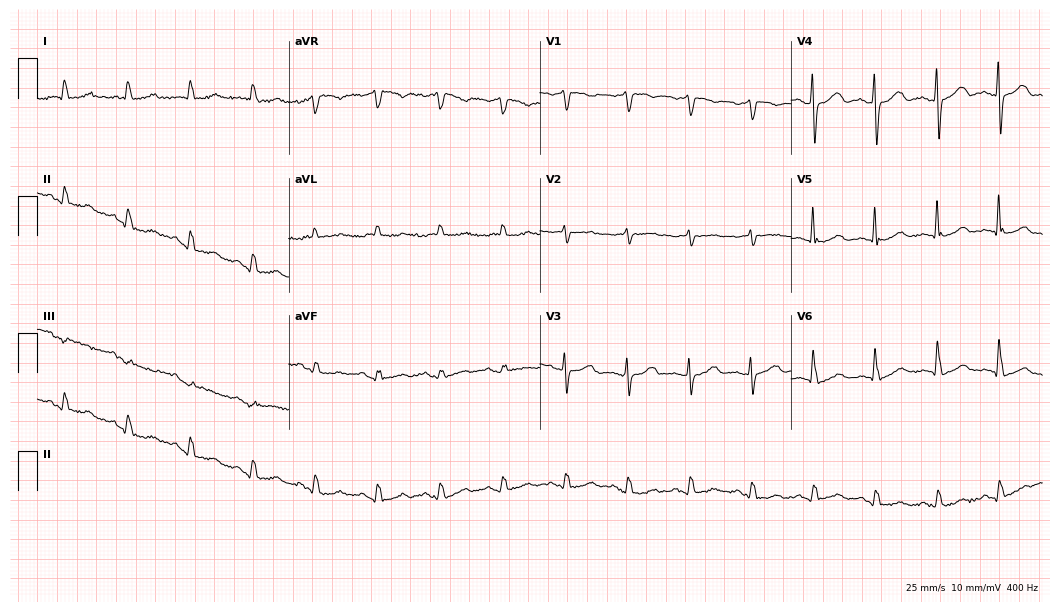
Standard 12-lead ECG recorded from a woman, 83 years old. None of these six findings is recorded: first-degree AV block, right bundle branch block (RBBB), left bundle branch block (LBBB), sinus bradycardia, atrial fibrillation (AF), sinus tachycardia. Findings outside these six are not listed.